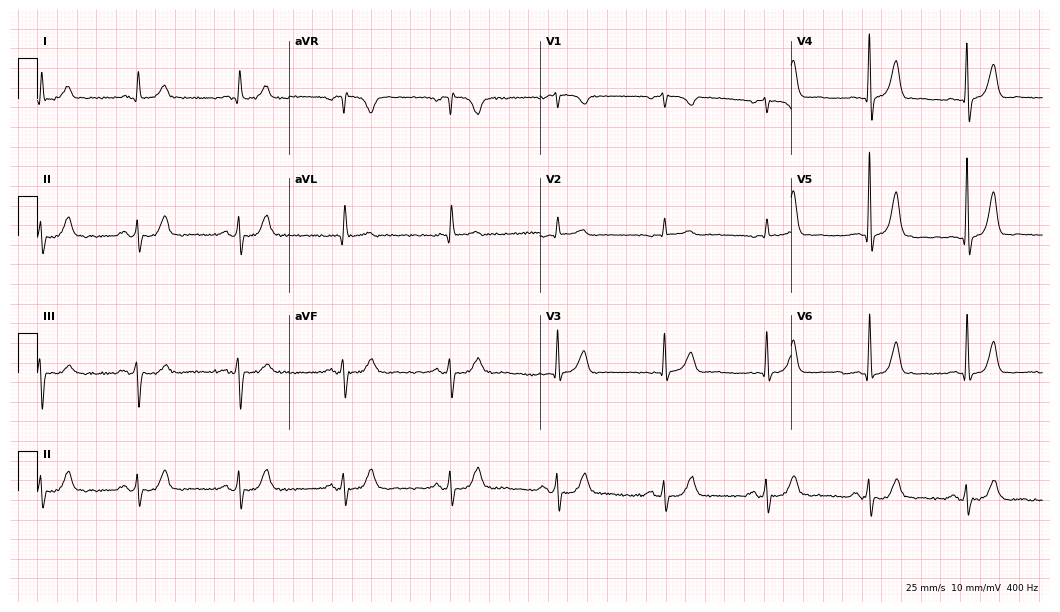
12-lead ECG from a female patient, 81 years old. Screened for six findings — first-degree AV block, right bundle branch block, left bundle branch block, sinus bradycardia, atrial fibrillation, sinus tachycardia — none is recorded. Other findings, if any, are not listed.